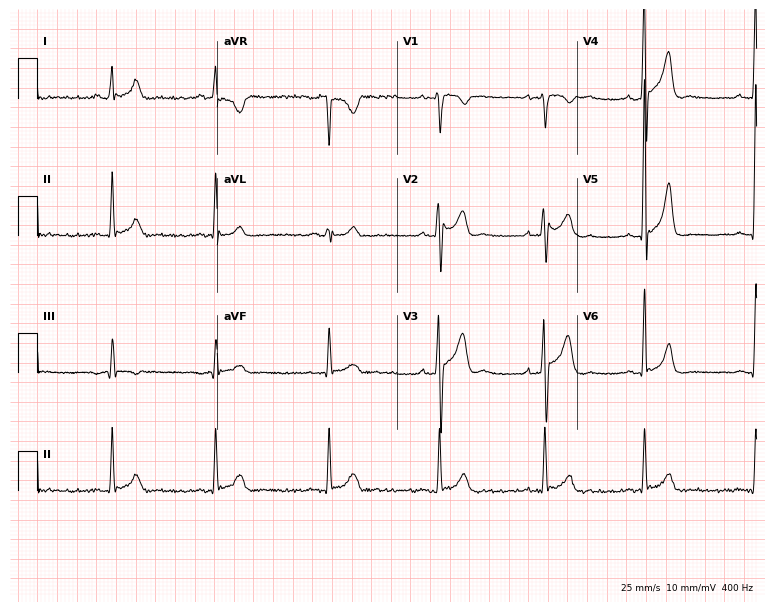
Resting 12-lead electrocardiogram. Patient: a 30-year-old male. Read as a normal ECG.